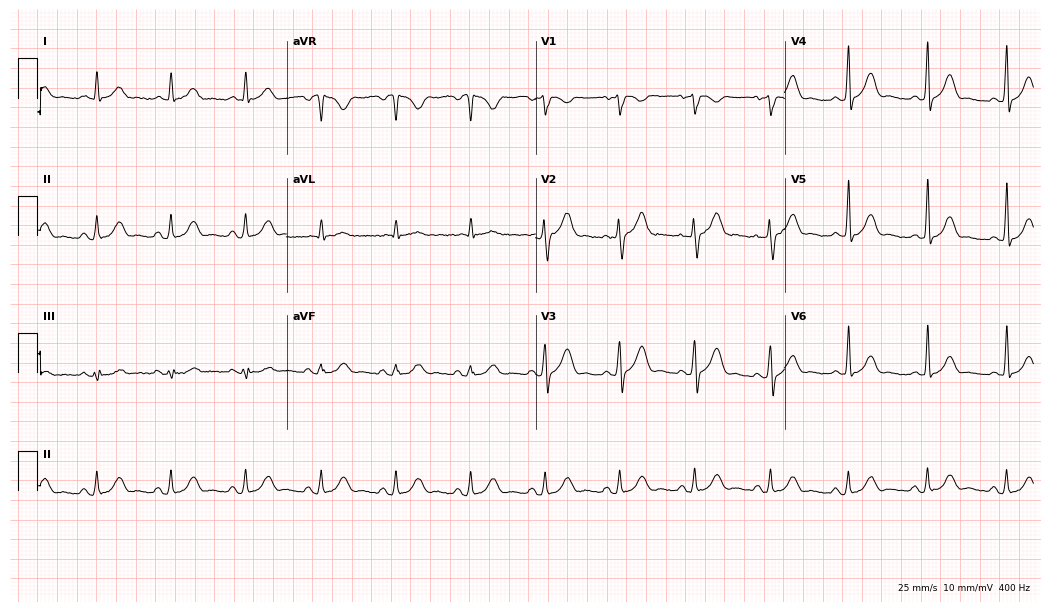
Resting 12-lead electrocardiogram (10.2-second recording at 400 Hz). Patient: a 48-year-old male. Read as a normal ECG.